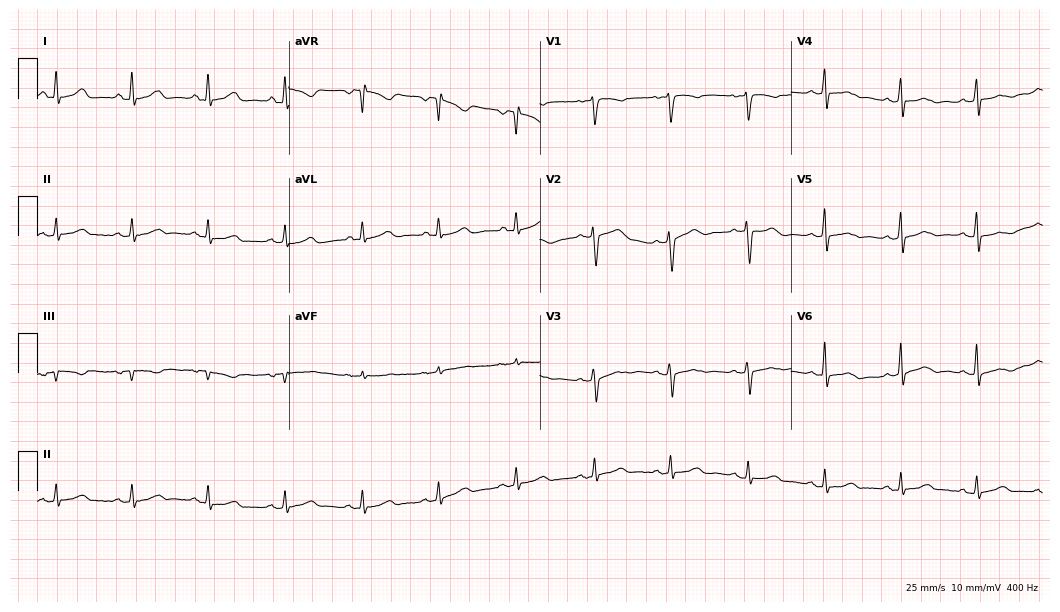
12-lead ECG from a woman, 35 years old. Recorded interpretation: within normal limits.